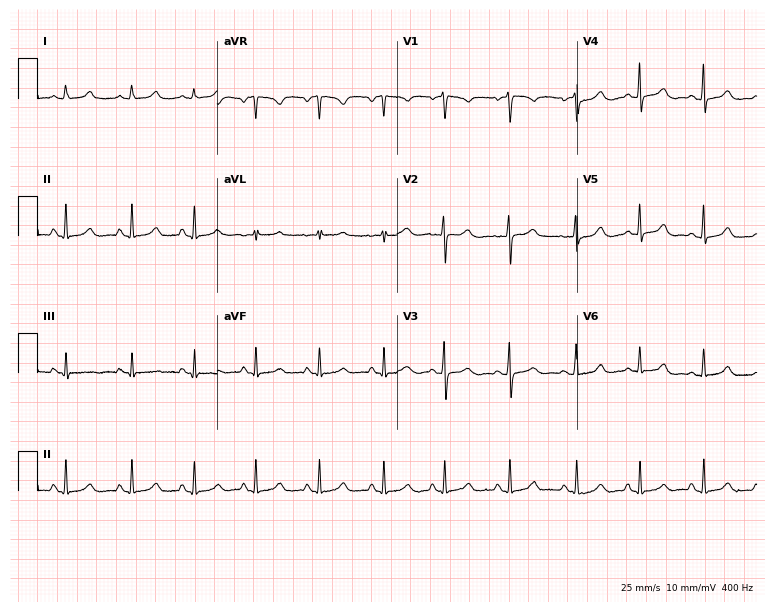
Resting 12-lead electrocardiogram. Patient: a 26-year-old female. None of these six findings is recorded: first-degree AV block, right bundle branch block, left bundle branch block, sinus bradycardia, atrial fibrillation, sinus tachycardia.